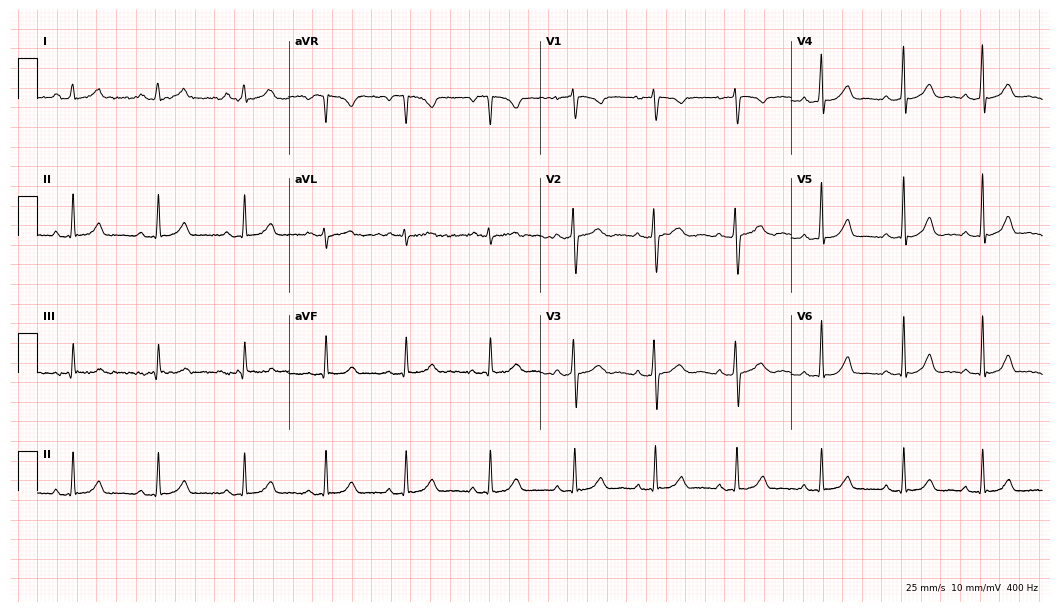
ECG — a 20-year-old female. Labelled as a normal ECG.